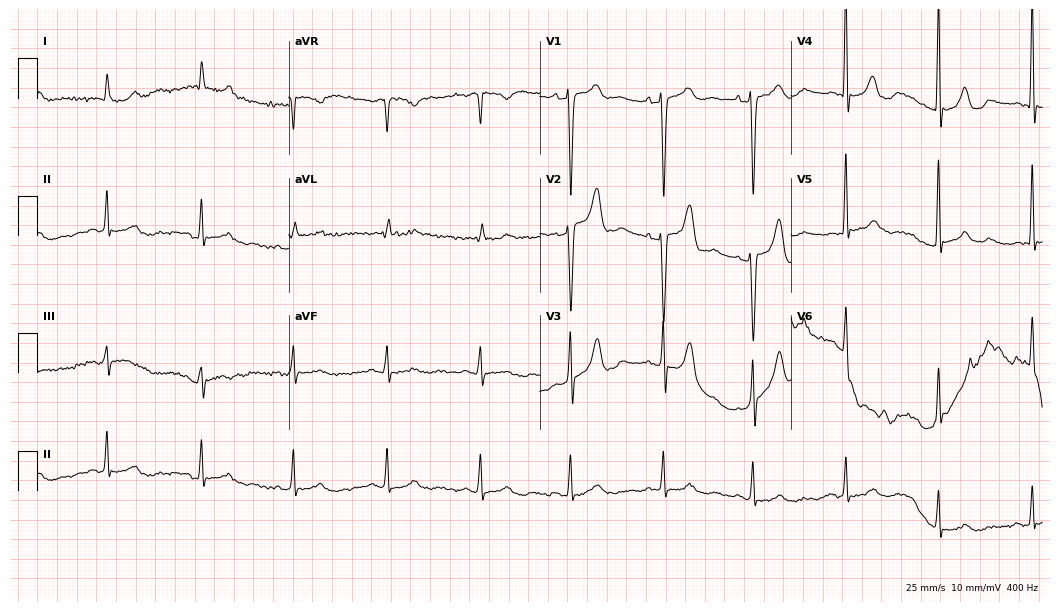
Resting 12-lead electrocardiogram. Patient: an 84-year-old female. Read as a normal ECG.